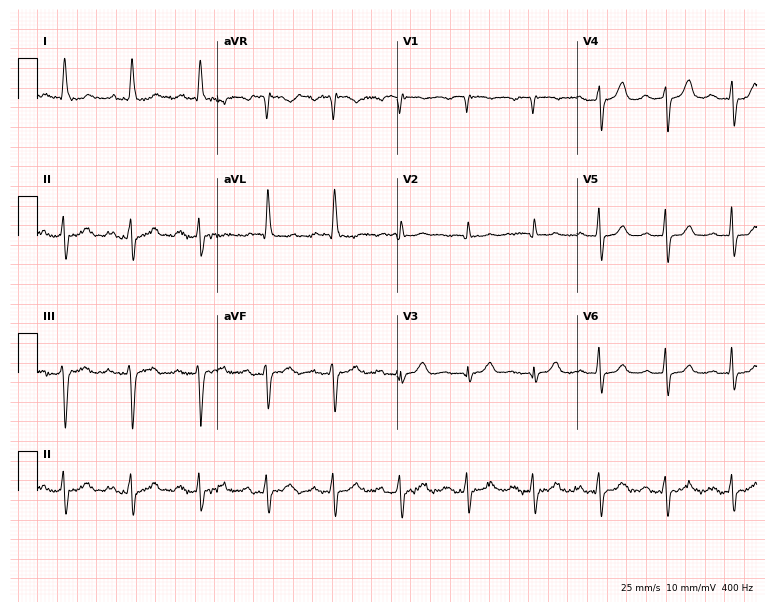
ECG — a female patient, 84 years old. Findings include first-degree AV block.